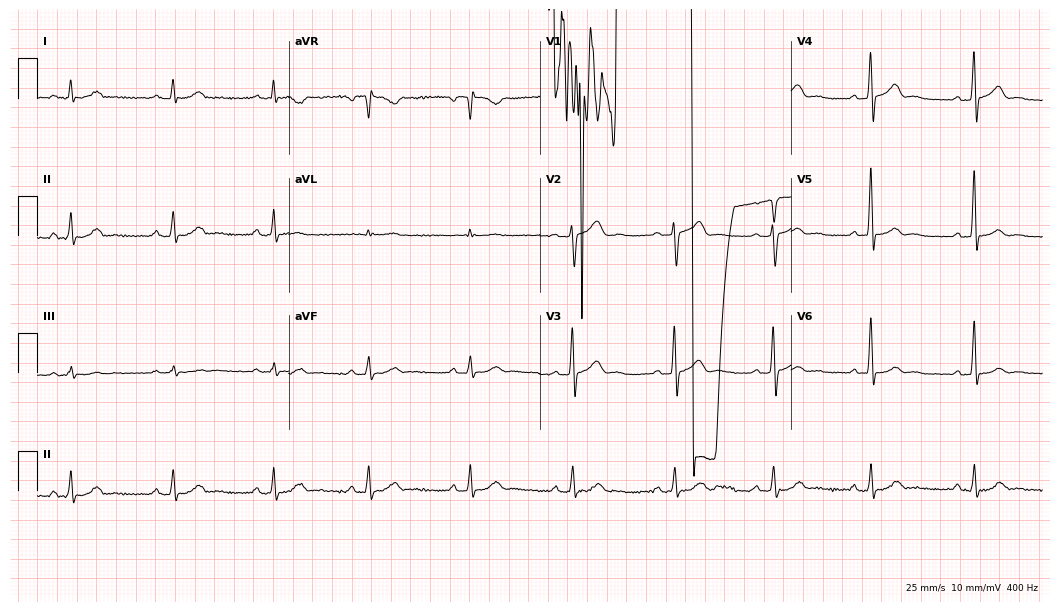
Resting 12-lead electrocardiogram. Patient: a 56-year-old male. None of these six findings is recorded: first-degree AV block, right bundle branch block (RBBB), left bundle branch block (LBBB), sinus bradycardia, atrial fibrillation (AF), sinus tachycardia.